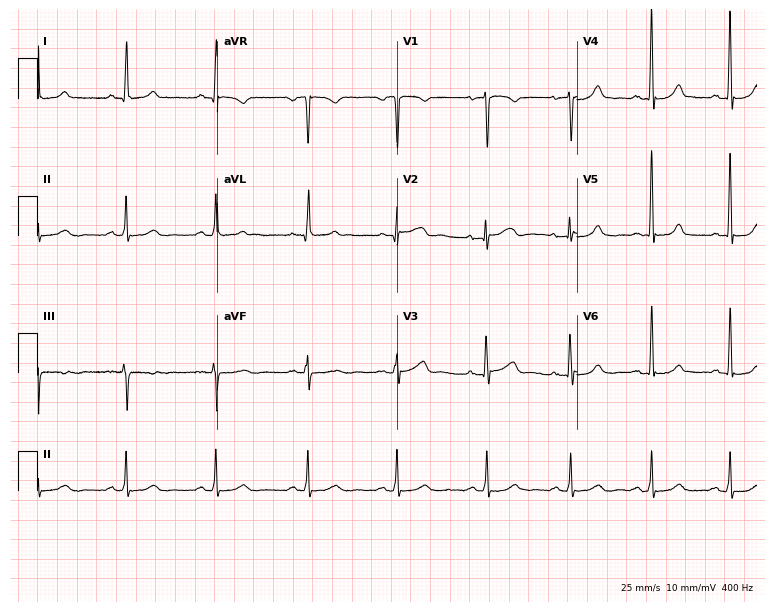
ECG — a 38-year-old female. Labelled as a normal ECG.